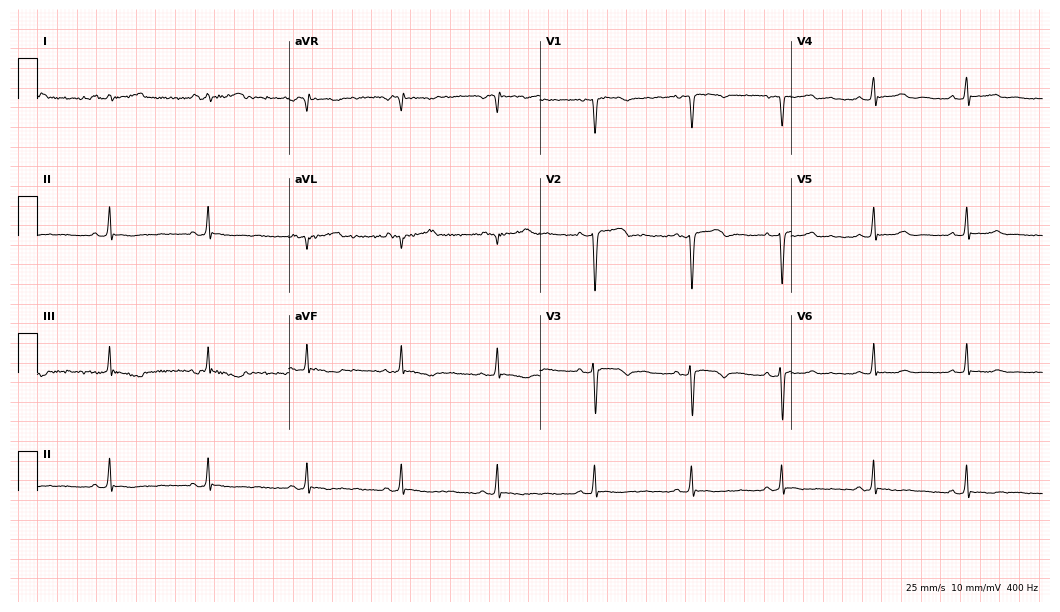
Standard 12-lead ECG recorded from a female, 32 years old. None of these six findings is recorded: first-degree AV block, right bundle branch block, left bundle branch block, sinus bradycardia, atrial fibrillation, sinus tachycardia.